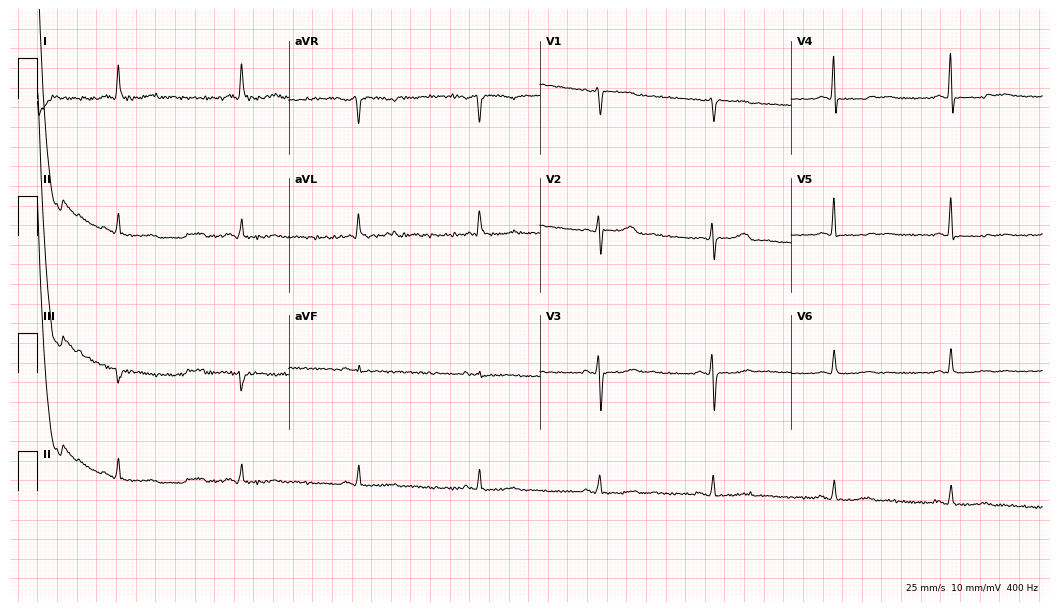
Resting 12-lead electrocardiogram (10.2-second recording at 400 Hz). Patient: a 77-year-old woman. None of these six findings is recorded: first-degree AV block, right bundle branch block, left bundle branch block, sinus bradycardia, atrial fibrillation, sinus tachycardia.